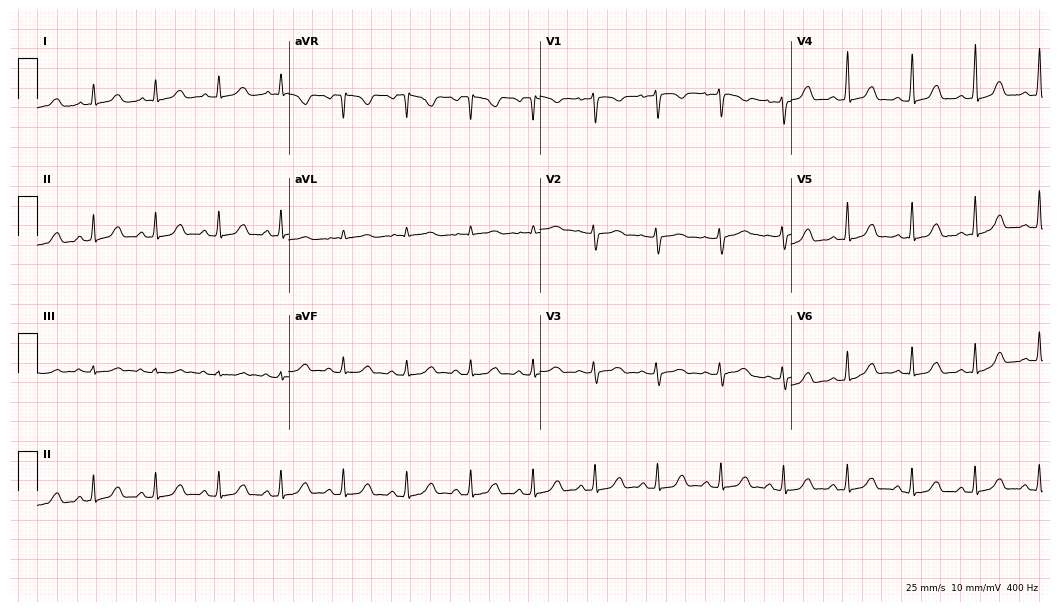
Resting 12-lead electrocardiogram. Patient: a 23-year-old woman. Read as a normal ECG.